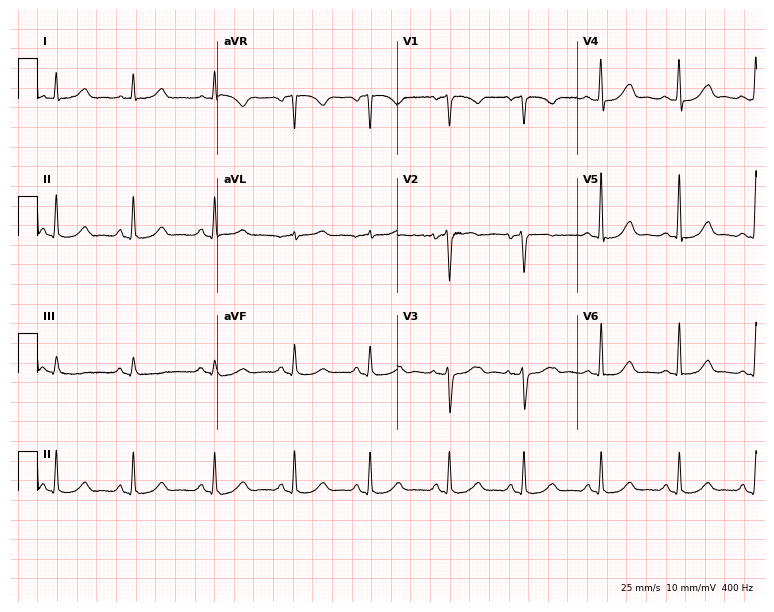
ECG — a 52-year-old woman. Screened for six findings — first-degree AV block, right bundle branch block, left bundle branch block, sinus bradycardia, atrial fibrillation, sinus tachycardia — none is recorded. Only these six findings were labelled.